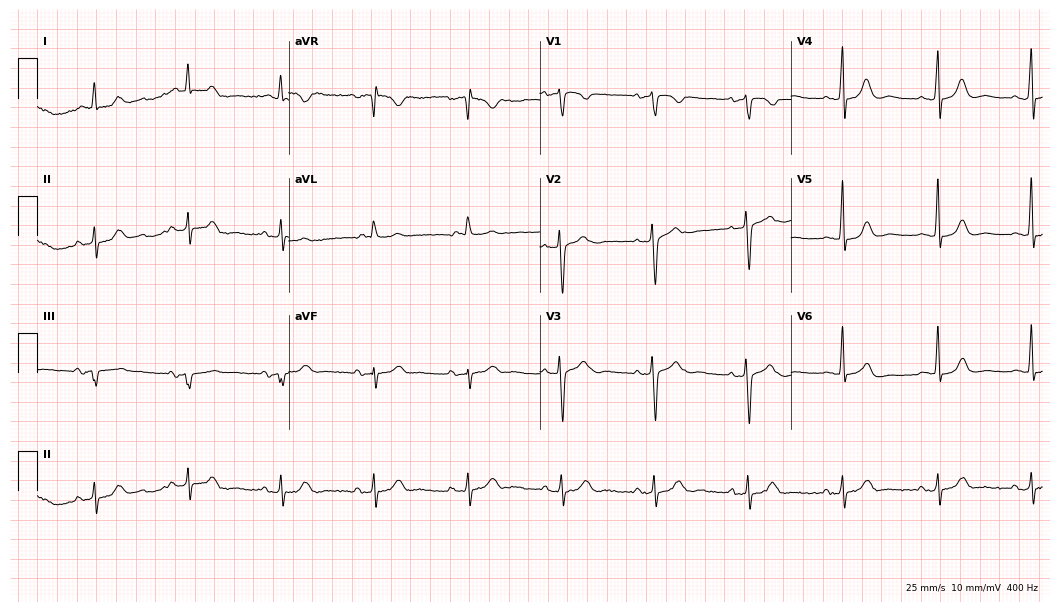
ECG — an 81-year-old woman. Labelled as a normal ECG.